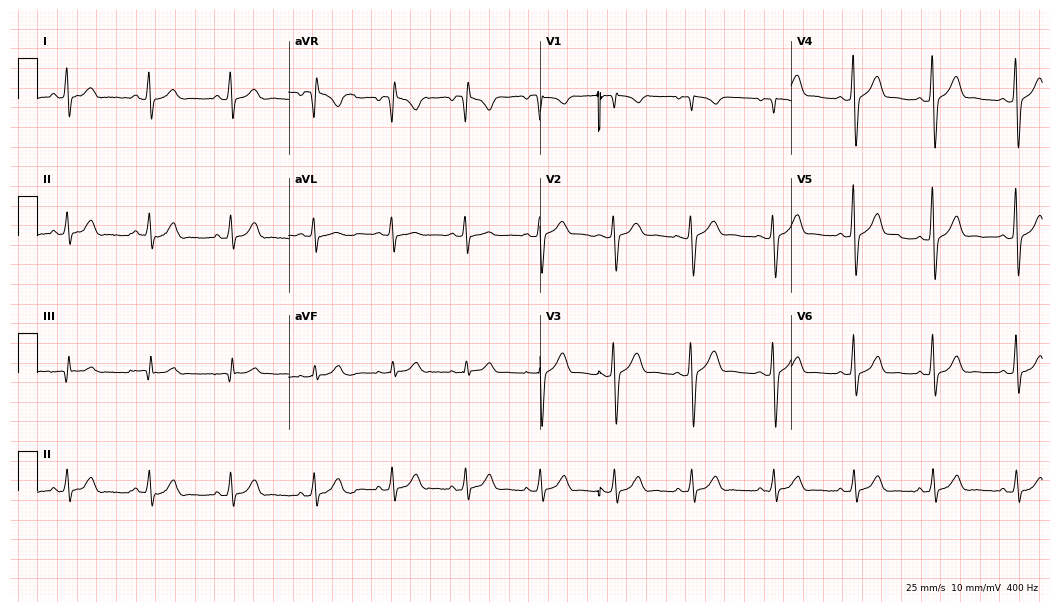
12-lead ECG (10.2-second recording at 400 Hz) from a 35-year-old male patient. Labelled as a normal ECG.